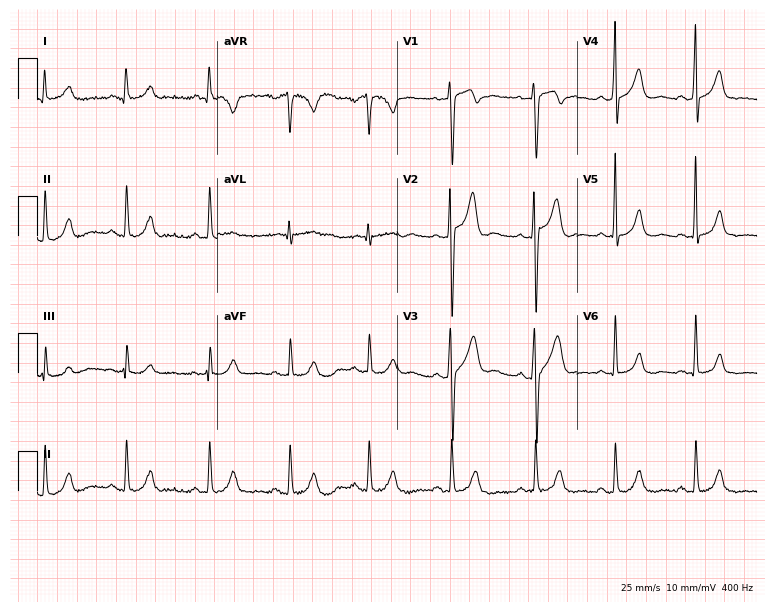
12-lead ECG from a 31-year-old man. Recorded interpretation: within normal limits.